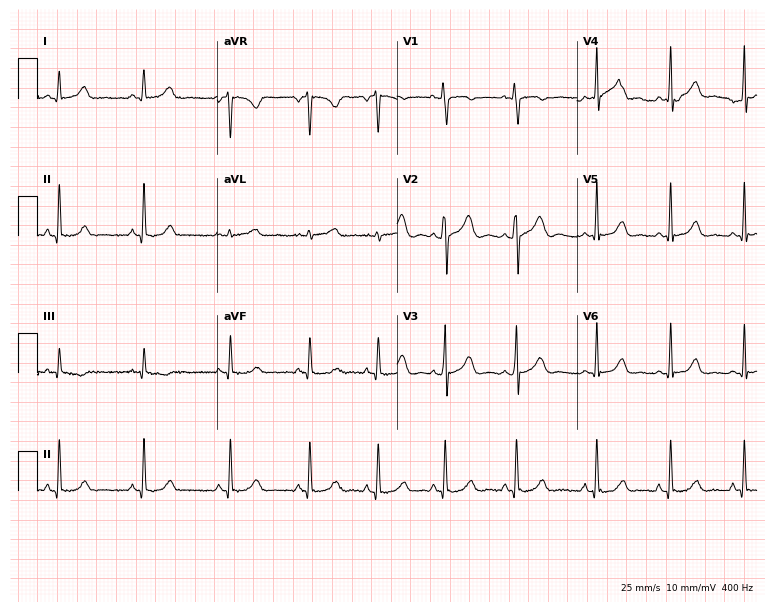
12-lead ECG from a 26-year-old female. Recorded interpretation: within normal limits.